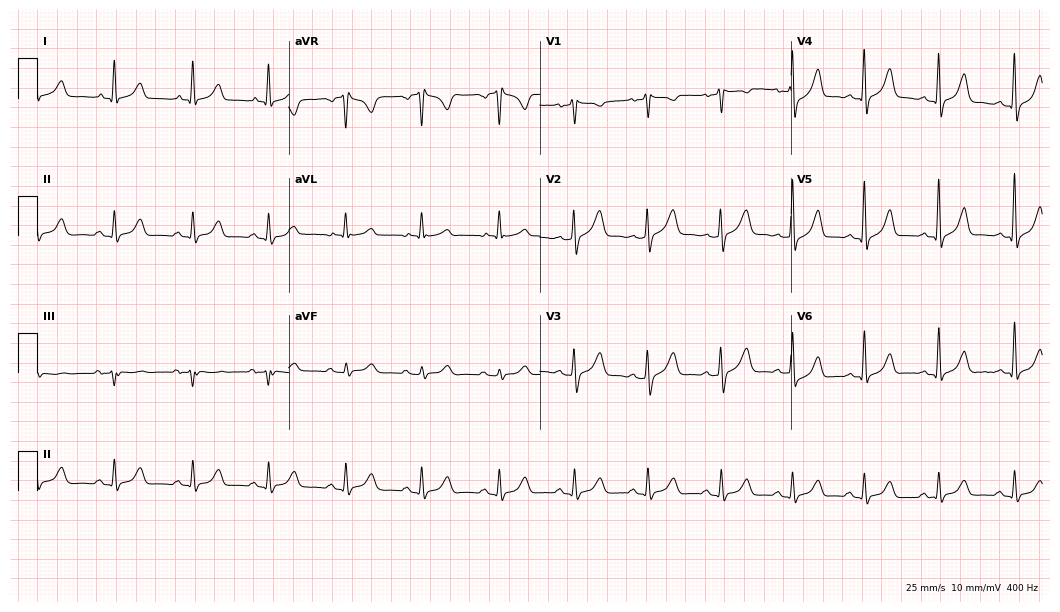
Resting 12-lead electrocardiogram. Patient: a male, 61 years old. None of these six findings is recorded: first-degree AV block, right bundle branch block, left bundle branch block, sinus bradycardia, atrial fibrillation, sinus tachycardia.